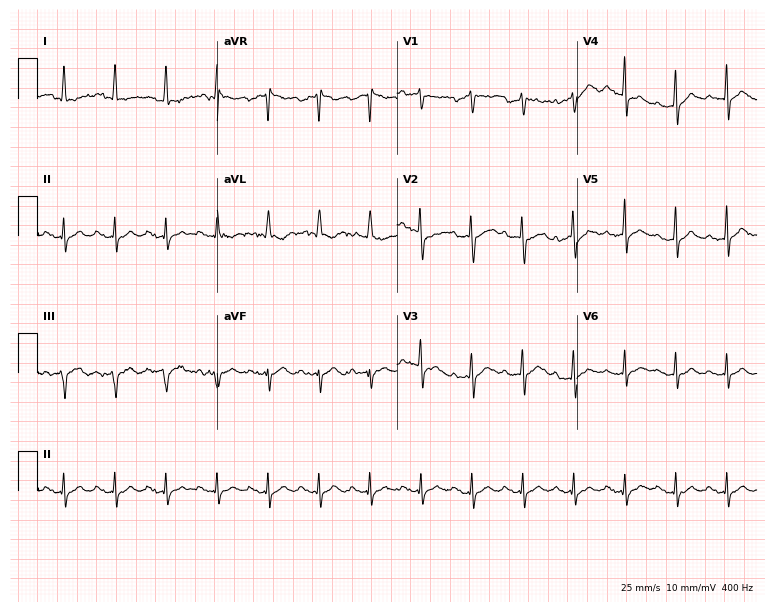
12-lead ECG from a female patient, 76 years old. Findings include sinus tachycardia (a sinus rate of 100 beats per minute or more).